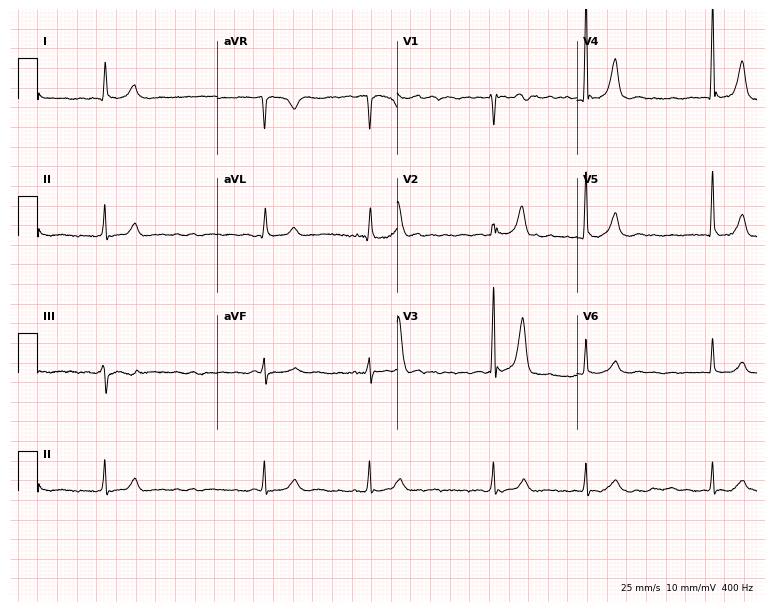
Standard 12-lead ECG recorded from a 68-year-old male. None of these six findings is recorded: first-degree AV block, right bundle branch block (RBBB), left bundle branch block (LBBB), sinus bradycardia, atrial fibrillation (AF), sinus tachycardia. Findings outside these six are not listed.